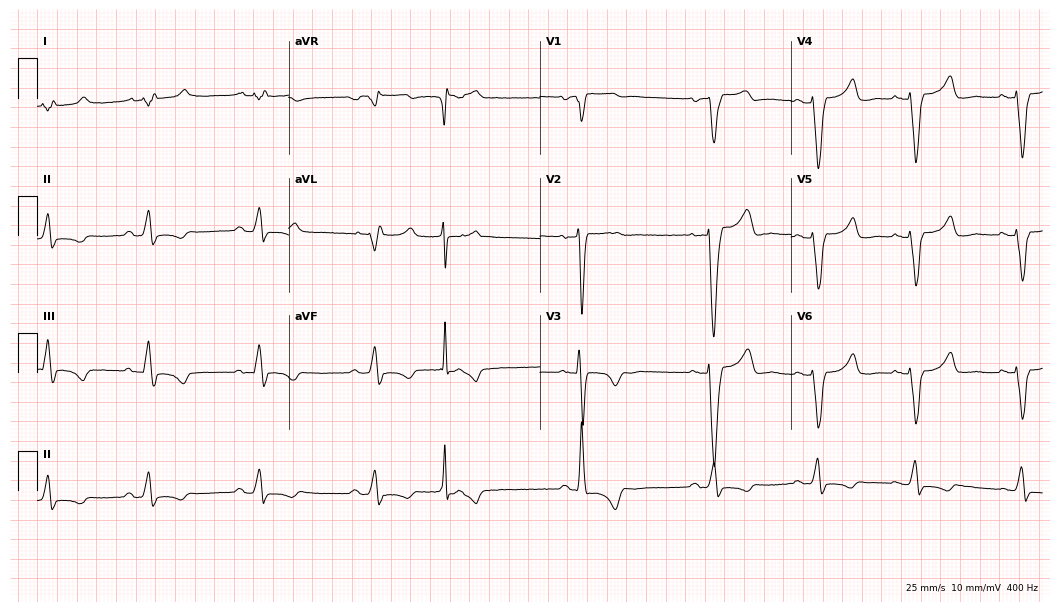
Standard 12-lead ECG recorded from a female, 42 years old (10.2-second recording at 400 Hz). None of these six findings is recorded: first-degree AV block, right bundle branch block (RBBB), left bundle branch block (LBBB), sinus bradycardia, atrial fibrillation (AF), sinus tachycardia. Findings outside these six are not listed.